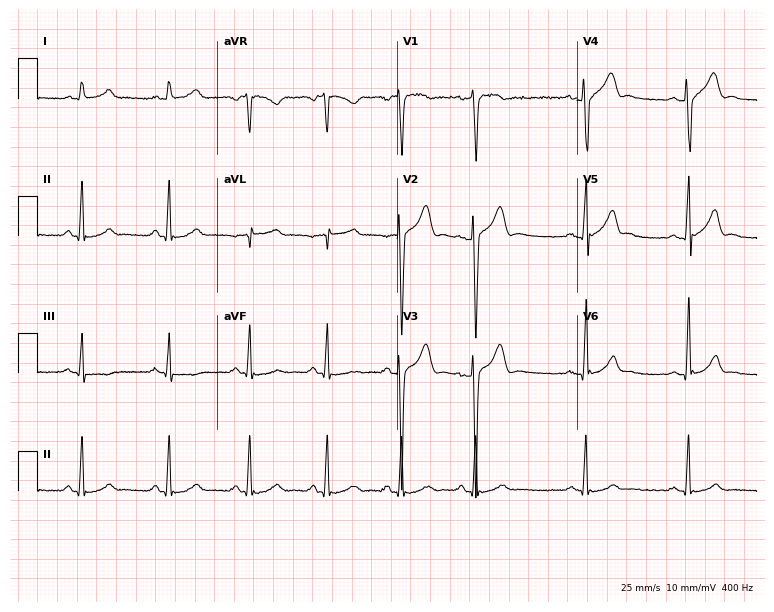
12-lead ECG from a male patient, 28 years old. No first-degree AV block, right bundle branch block, left bundle branch block, sinus bradycardia, atrial fibrillation or sinus tachycardia recorded for this tracing.